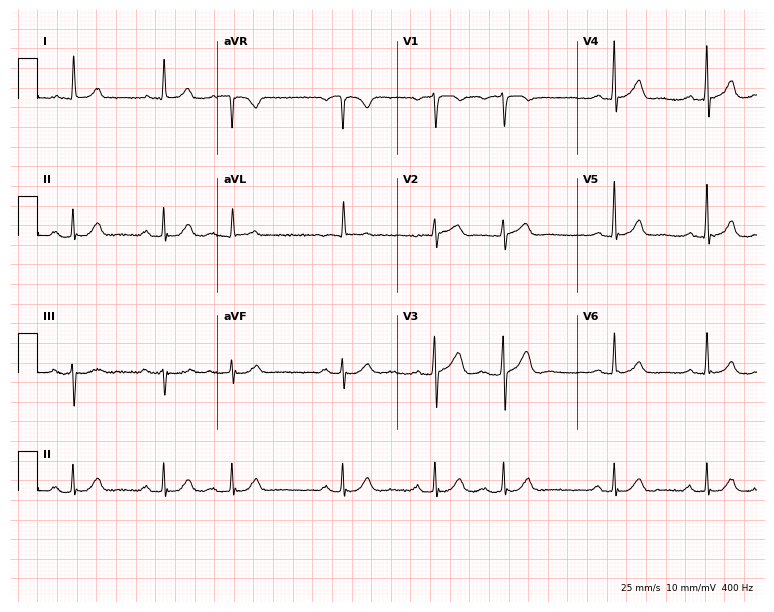
Resting 12-lead electrocardiogram. Patient: an 81-year-old woman. None of these six findings is recorded: first-degree AV block, right bundle branch block, left bundle branch block, sinus bradycardia, atrial fibrillation, sinus tachycardia. Other findings, if any, are not listed.